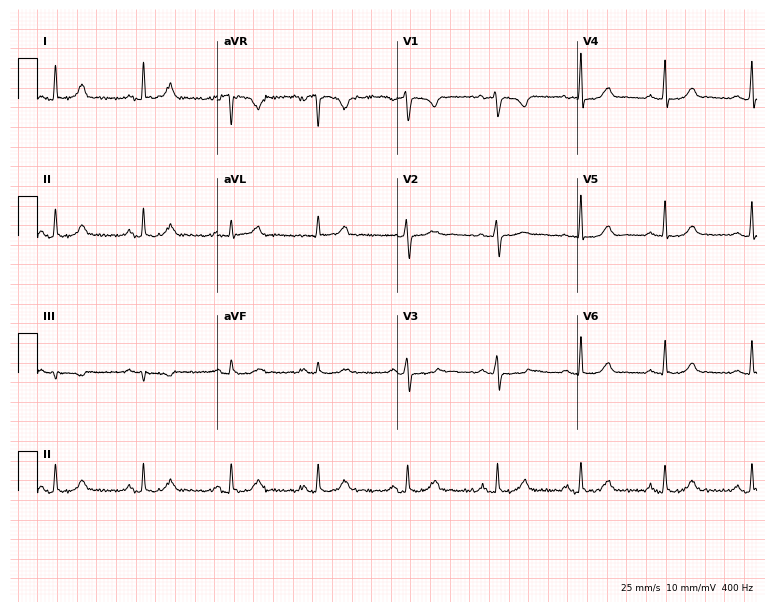
Resting 12-lead electrocardiogram (7.3-second recording at 400 Hz). Patient: a female, 23 years old. Read as a normal ECG.